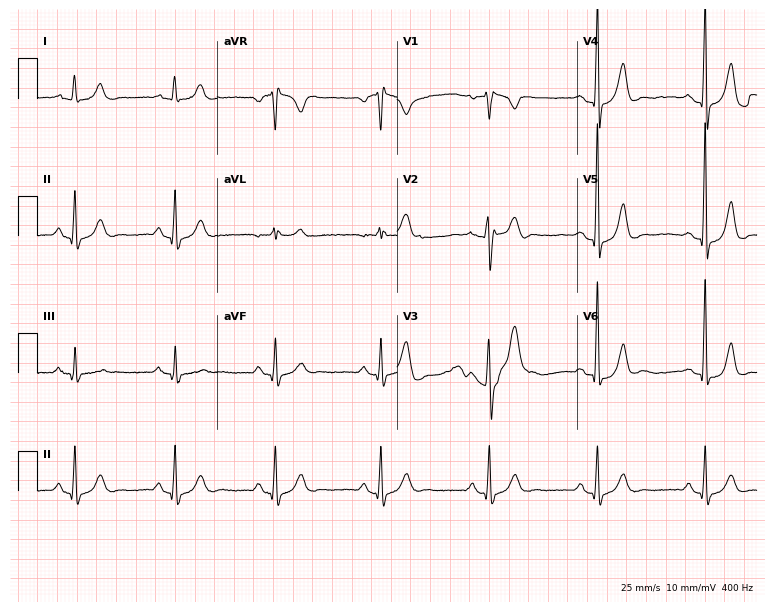
Electrocardiogram, a male, 52 years old. Of the six screened findings (first-degree AV block, right bundle branch block, left bundle branch block, sinus bradycardia, atrial fibrillation, sinus tachycardia), none is recorded.